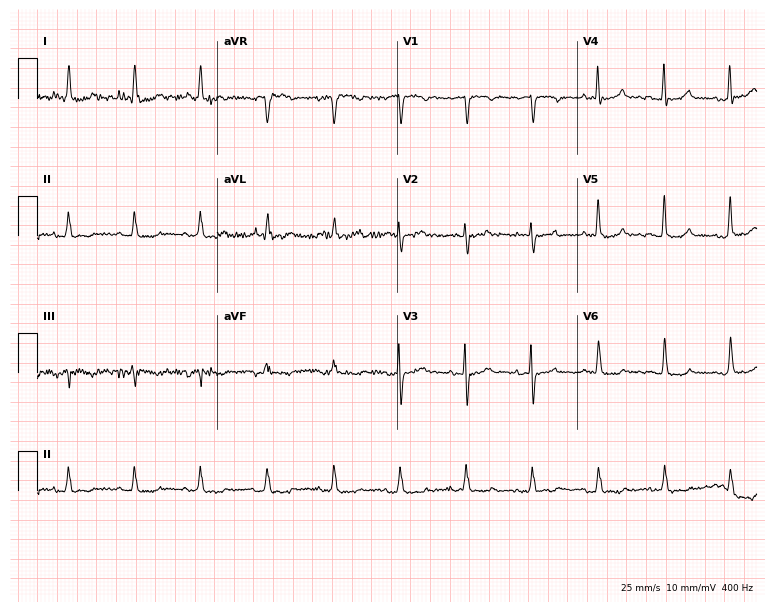
12-lead ECG (7.3-second recording at 400 Hz) from a 79-year-old female patient. Screened for six findings — first-degree AV block, right bundle branch block, left bundle branch block, sinus bradycardia, atrial fibrillation, sinus tachycardia — none is recorded.